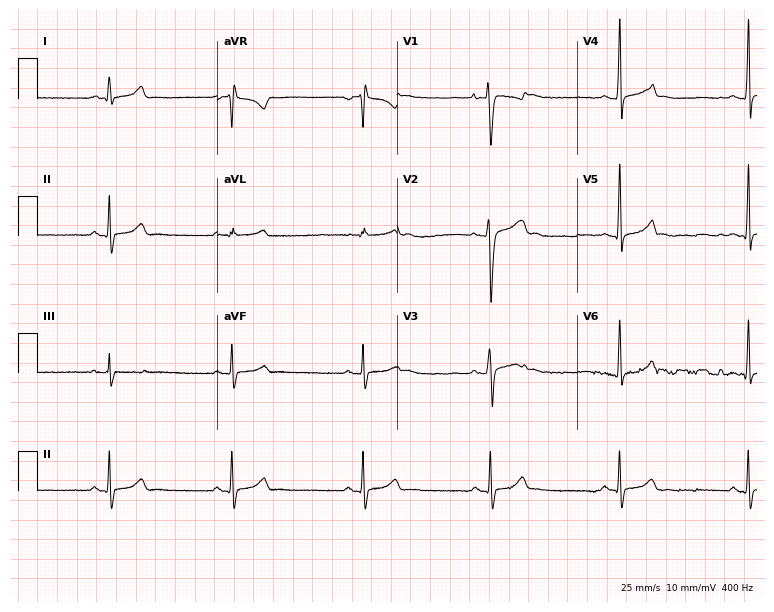
Resting 12-lead electrocardiogram. Patient: a woman, 19 years old. Read as a normal ECG.